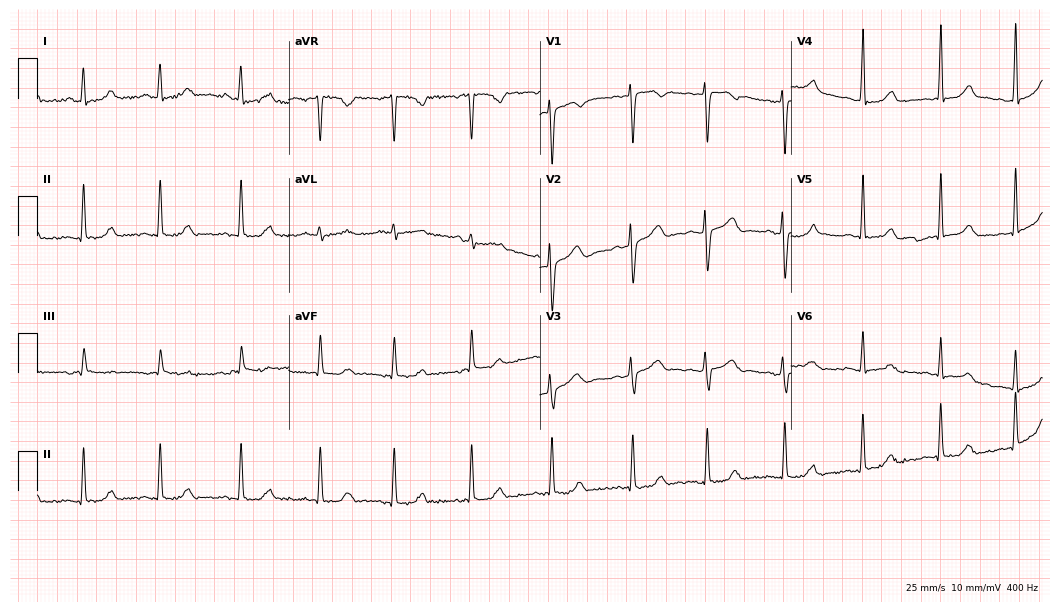
Standard 12-lead ECG recorded from a 34-year-old woman. None of these six findings is recorded: first-degree AV block, right bundle branch block, left bundle branch block, sinus bradycardia, atrial fibrillation, sinus tachycardia.